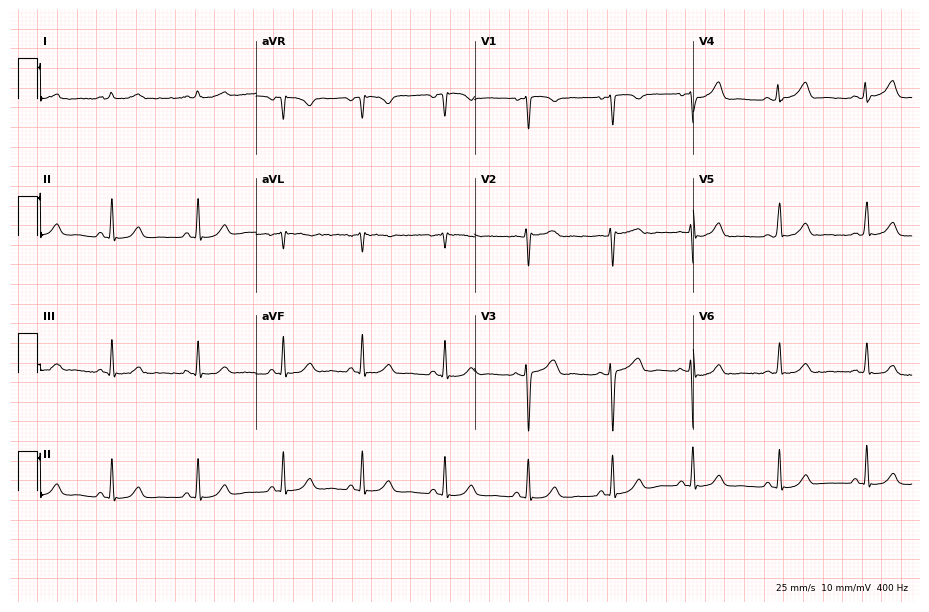
Standard 12-lead ECG recorded from a female, 44 years old. Read as a normal ECG.